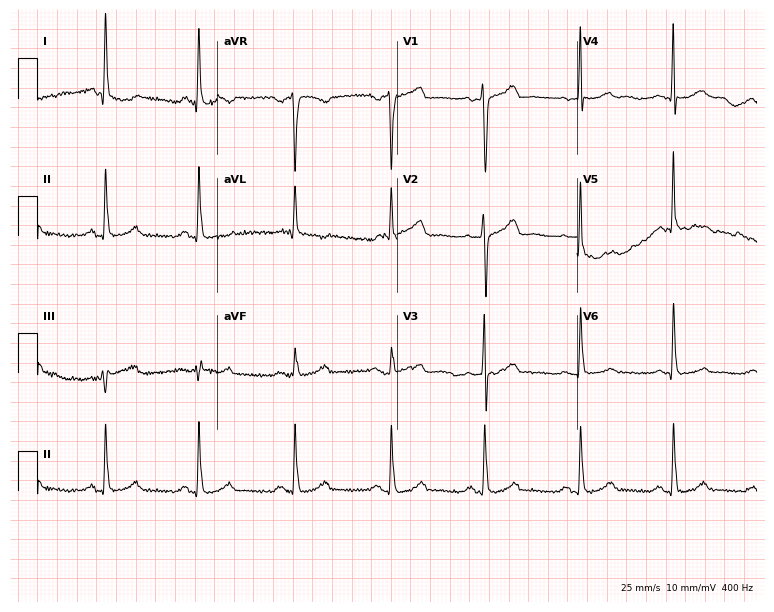
Standard 12-lead ECG recorded from a 49-year-old male (7.3-second recording at 400 Hz). None of these six findings is recorded: first-degree AV block, right bundle branch block (RBBB), left bundle branch block (LBBB), sinus bradycardia, atrial fibrillation (AF), sinus tachycardia.